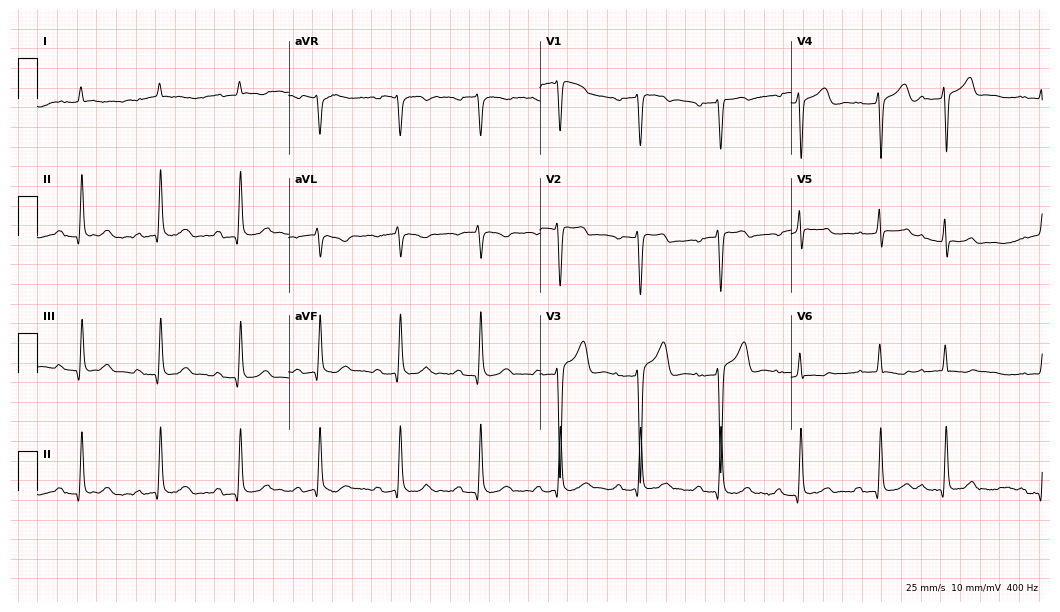
12-lead ECG from a man, 85 years old (10.2-second recording at 400 Hz). Shows first-degree AV block.